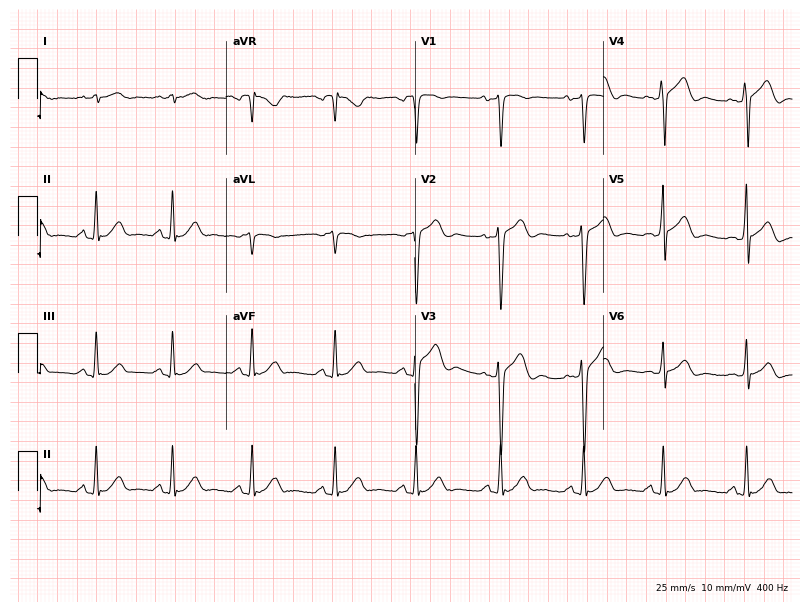
Electrocardiogram (7.7-second recording at 400 Hz), a male patient, 26 years old. Of the six screened findings (first-degree AV block, right bundle branch block, left bundle branch block, sinus bradycardia, atrial fibrillation, sinus tachycardia), none is recorded.